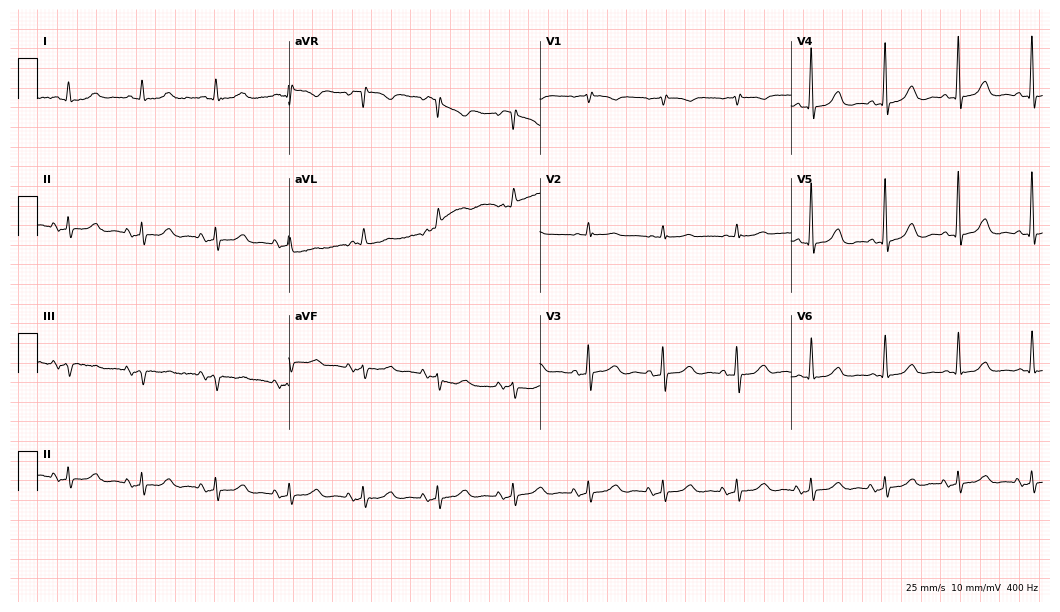
Resting 12-lead electrocardiogram. Patient: a man, 79 years old. Read as a normal ECG.